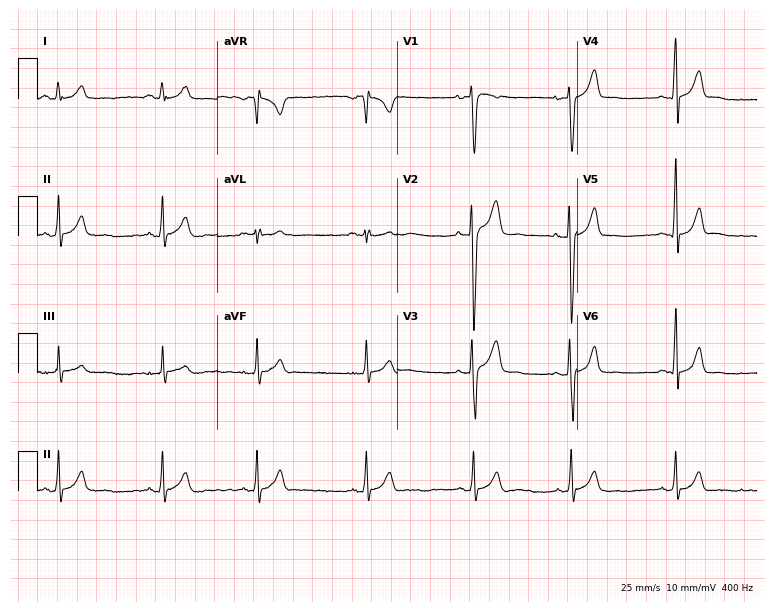
Standard 12-lead ECG recorded from a male patient, 18 years old. Read as a normal ECG.